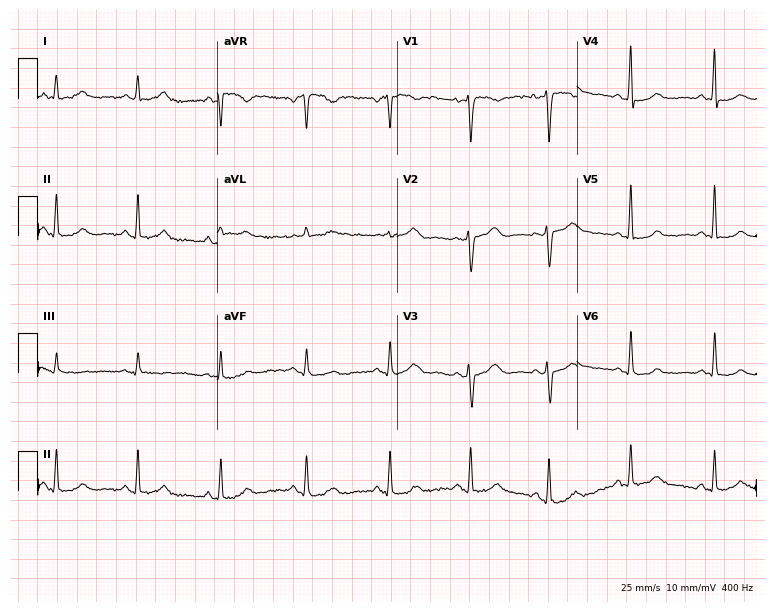
Standard 12-lead ECG recorded from a woman, 48 years old (7.3-second recording at 400 Hz). None of these six findings is recorded: first-degree AV block, right bundle branch block, left bundle branch block, sinus bradycardia, atrial fibrillation, sinus tachycardia.